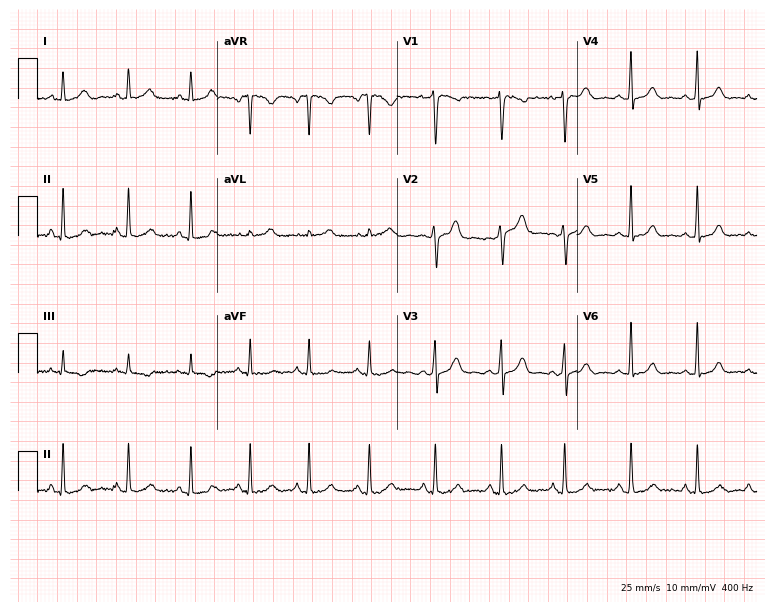
12-lead ECG (7.3-second recording at 400 Hz) from a female patient, 23 years old. Labelled as a normal ECG.